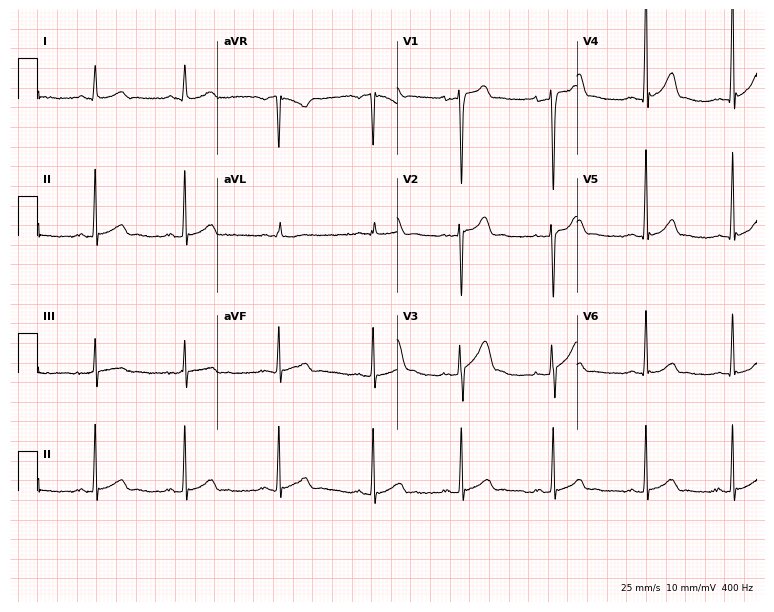
ECG (7.3-second recording at 400 Hz) — a 19-year-old male patient. Labelled as a normal ECG.